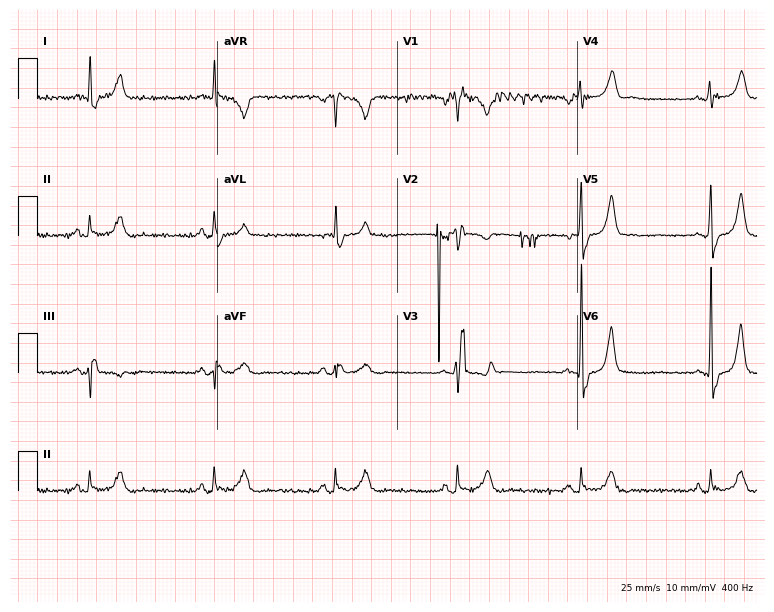
12-lead ECG (7.3-second recording at 400 Hz) from a male patient, 65 years old. Findings include right bundle branch block (RBBB), sinus bradycardia (a sinus rate of 50 beats per minute or less).